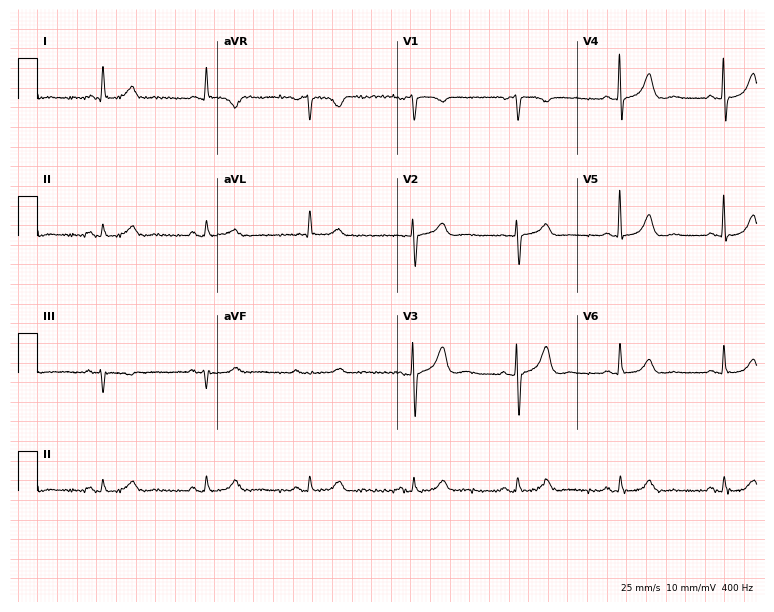
ECG (7.3-second recording at 400 Hz) — a female, 73 years old. Labelled as a normal ECG.